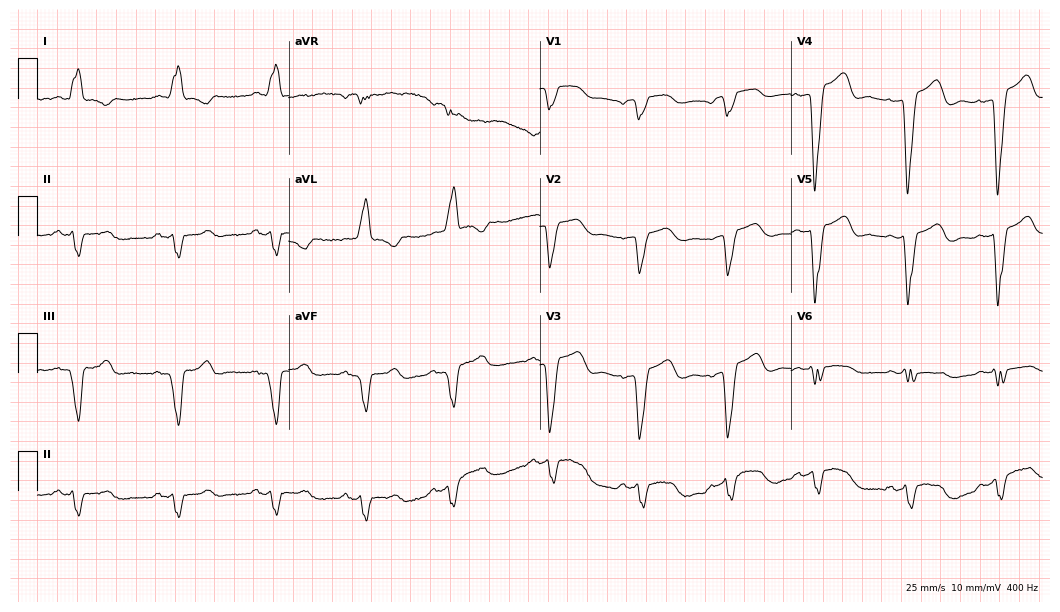
Standard 12-lead ECG recorded from a woman, 74 years old. The tracing shows left bundle branch block (LBBB).